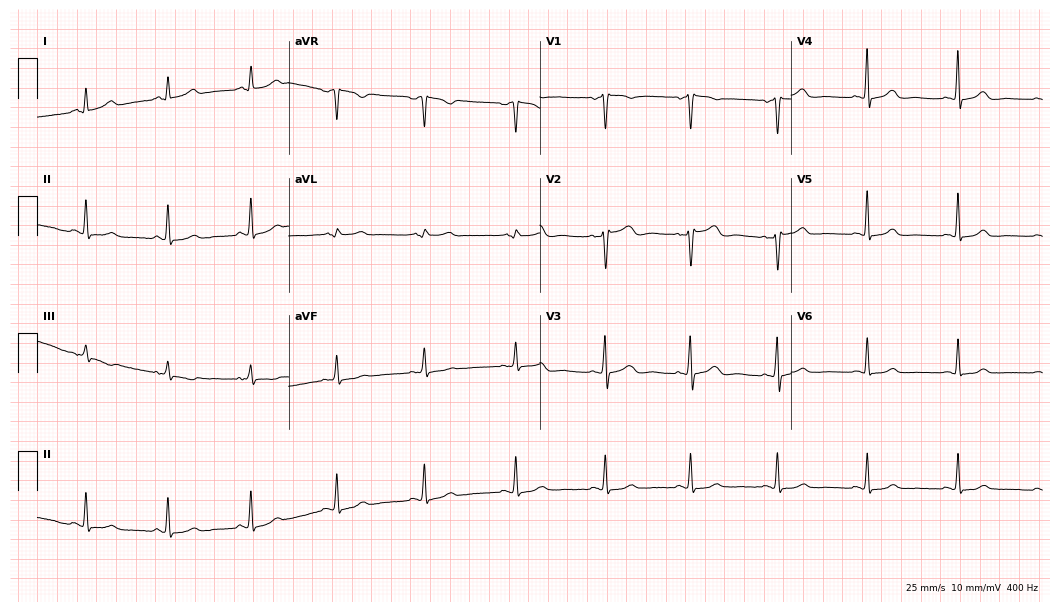
12-lead ECG from a female patient, 41 years old. Labelled as a normal ECG.